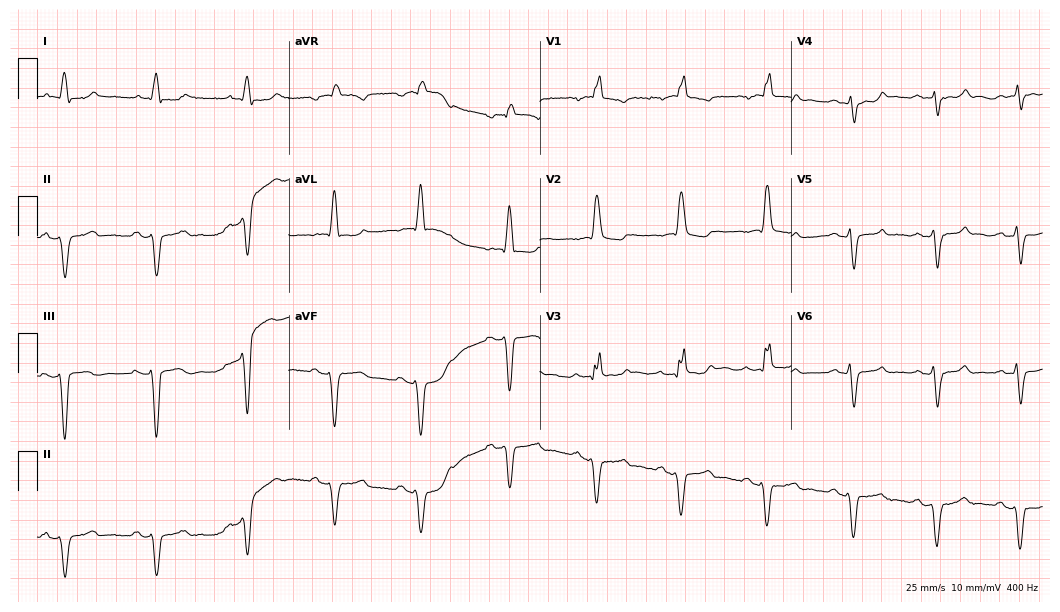
12-lead ECG from a 72-year-old male. Shows right bundle branch block (RBBB).